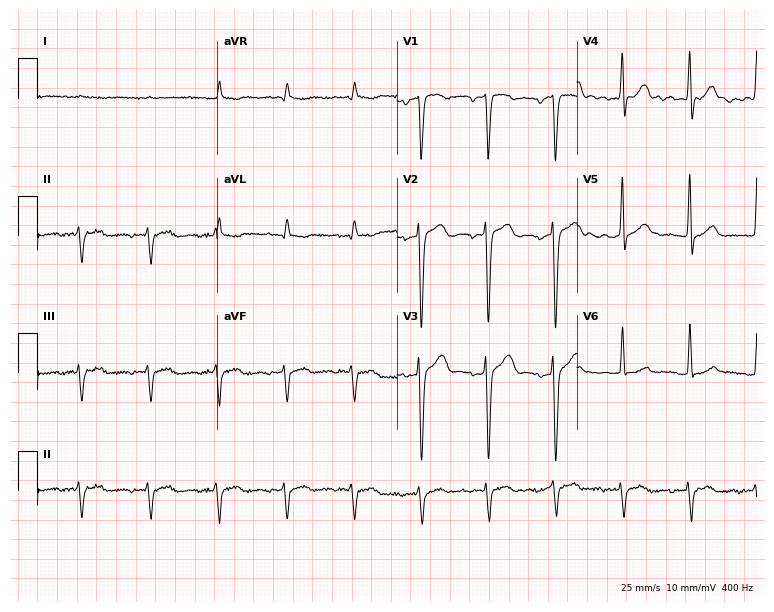
12-lead ECG from a 47-year-old male patient. Screened for six findings — first-degree AV block, right bundle branch block, left bundle branch block, sinus bradycardia, atrial fibrillation, sinus tachycardia — none is recorded.